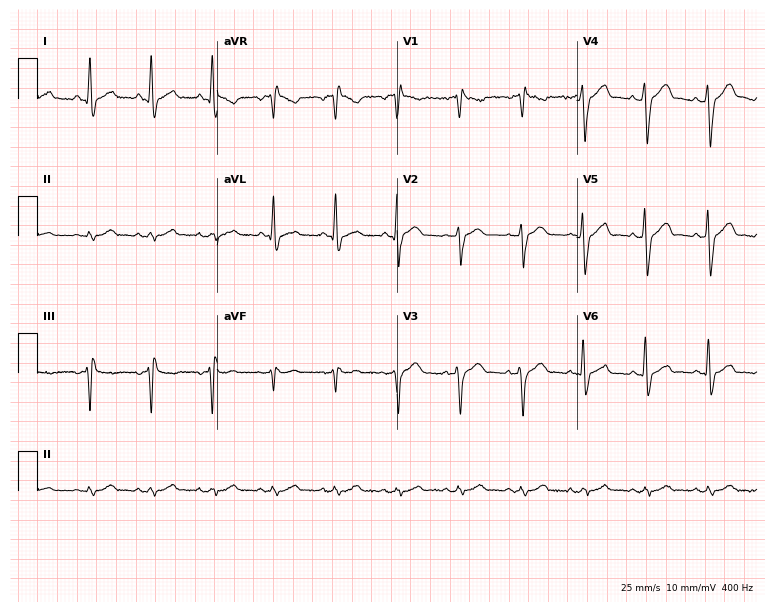
Standard 12-lead ECG recorded from a 67-year-old male. The tracing shows right bundle branch block.